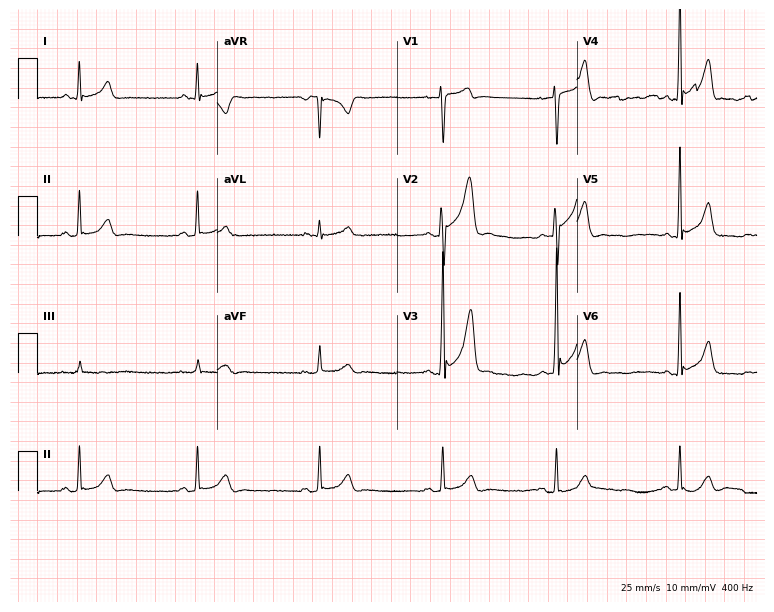
ECG — a man, 26 years old. Screened for six findings — first-degree AV block, right bundle branch block (RBBB), left bundle branch block (LBBB), sinus bradycardia, atrial fibrillation (AF), sinus tachycardia — none is recorded.